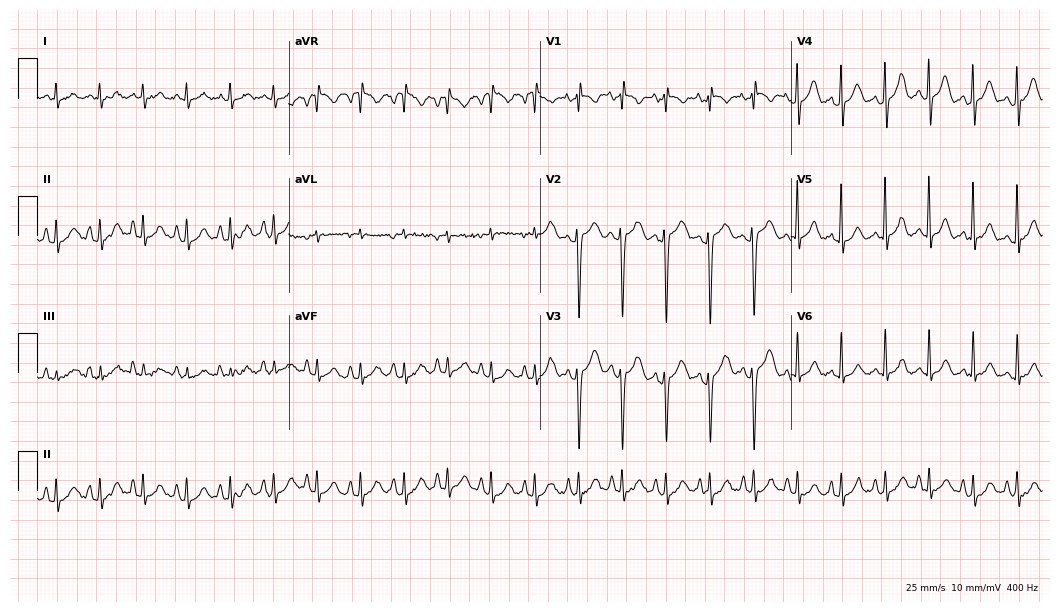
12-lead ECG from a woman, 36 years old (10.2-second recording at 400 Hz). Shows sinus tachycardia (a sinus rate of 100 beats per minute or more).